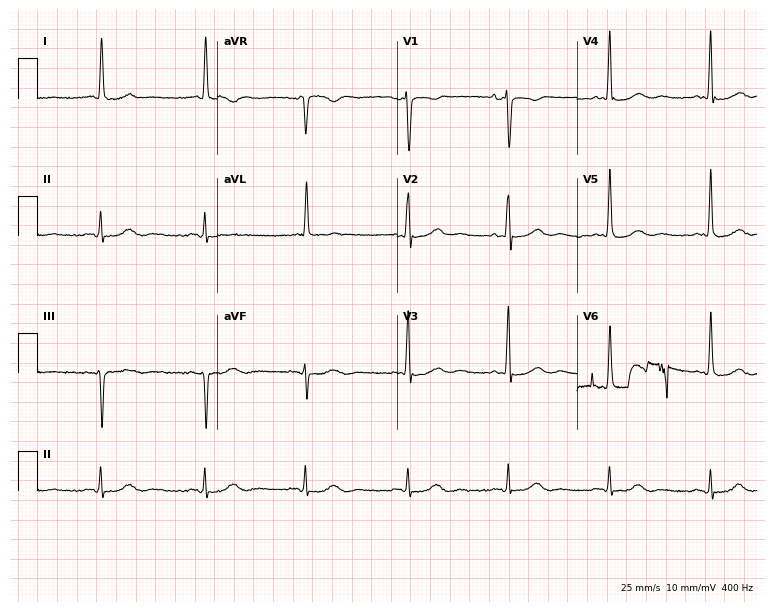
Standard 12-lead ECG recorded from an 80-year-old female (7.3-second recording at 400 Hz). None of these six findings is recorded: first-degree AV block, right bundle branch block, left bundle branch block, sinus bradycardia, atrial fibrillation, sinus tachycardia. Only these six findings were labelled.